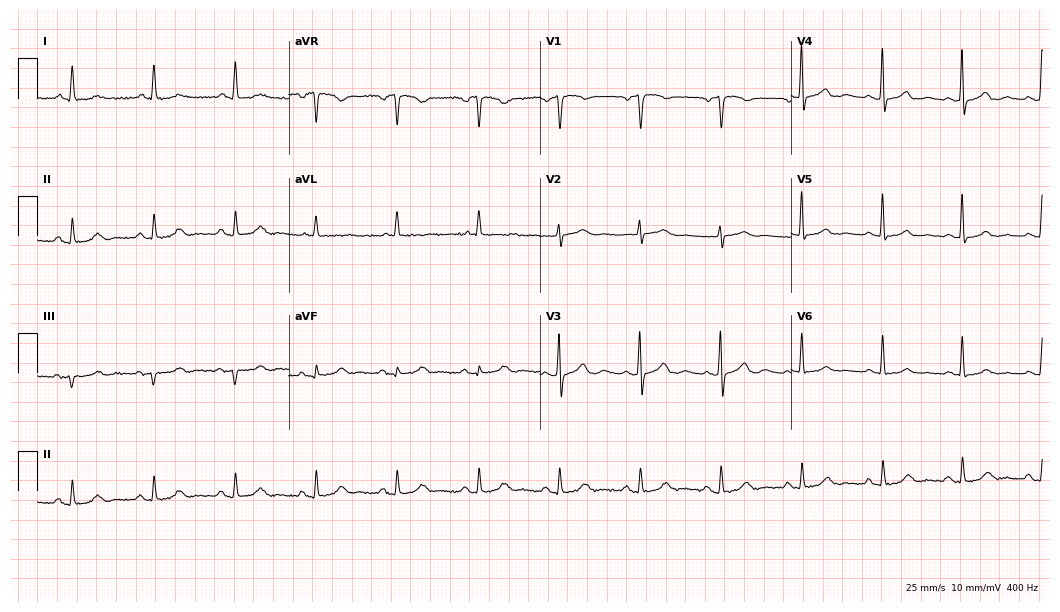
Resting 12-lead electrocardiogram. Patient: a female, 71 years old. None of these six findings is recorded: first-degree AV block, right bundle branch block, left bundle branch block, sinus bradycardia, atrial fibrillation, sinus tachycardia.